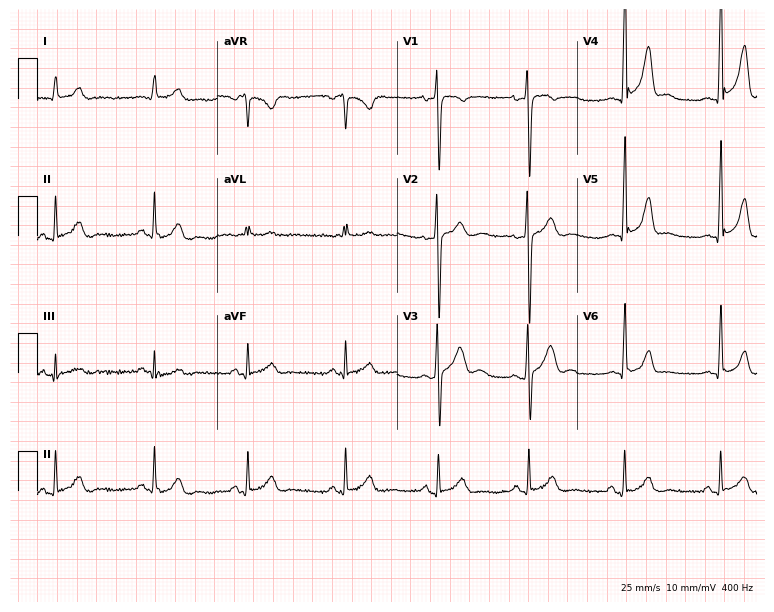
ECG (7.3-second recording at 400 Hz) — a 17-year-old male patient. Screened for six findings — first-degree AV block, right bundle branch block, left bundle branch block, sinus bradycardia, atrial fibrillation, sinus tachycardia — none is recorded.